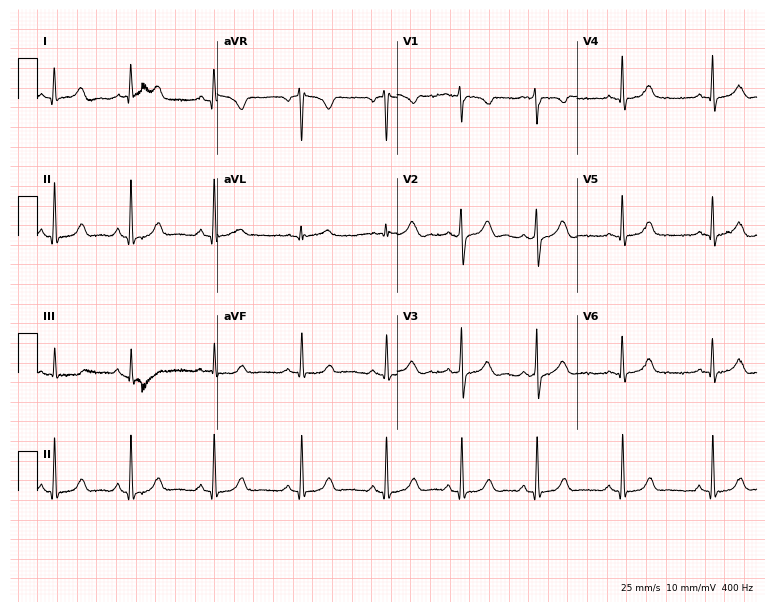
Electrocardiogram (7.3-second recording at 400 Hz), a female, 19 years old. Overall reading on record: normal ECG.